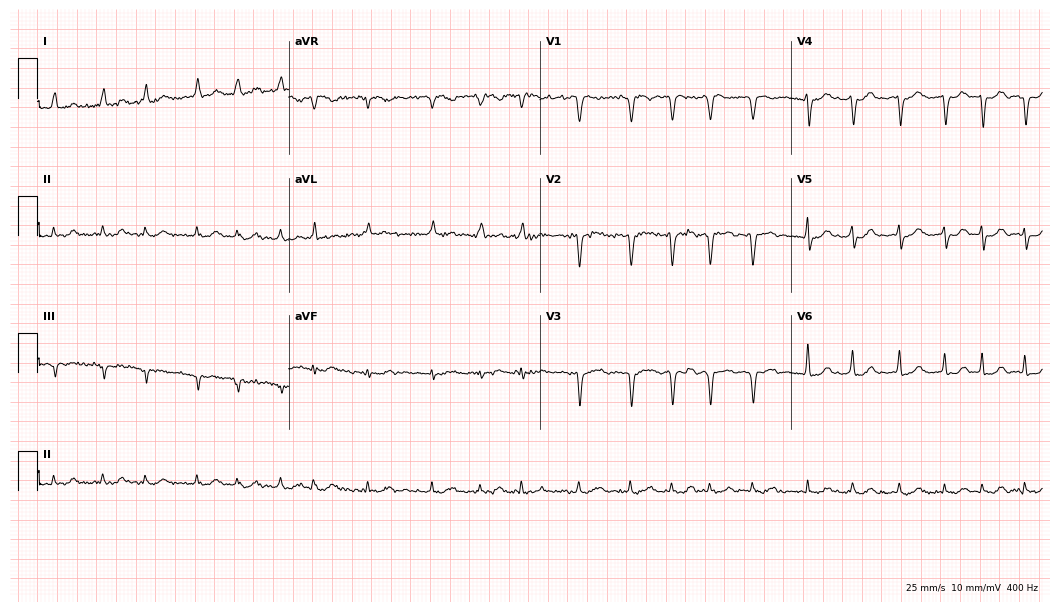
12-lead ECG from an 81-year-old female (10.2-second recording at 400 Hz). No first-degree AV block, right bundle branch block, left bundle branch block, sinus bradycardia, atrial fibrillation or sinus tachycardia recorded for this tracing.